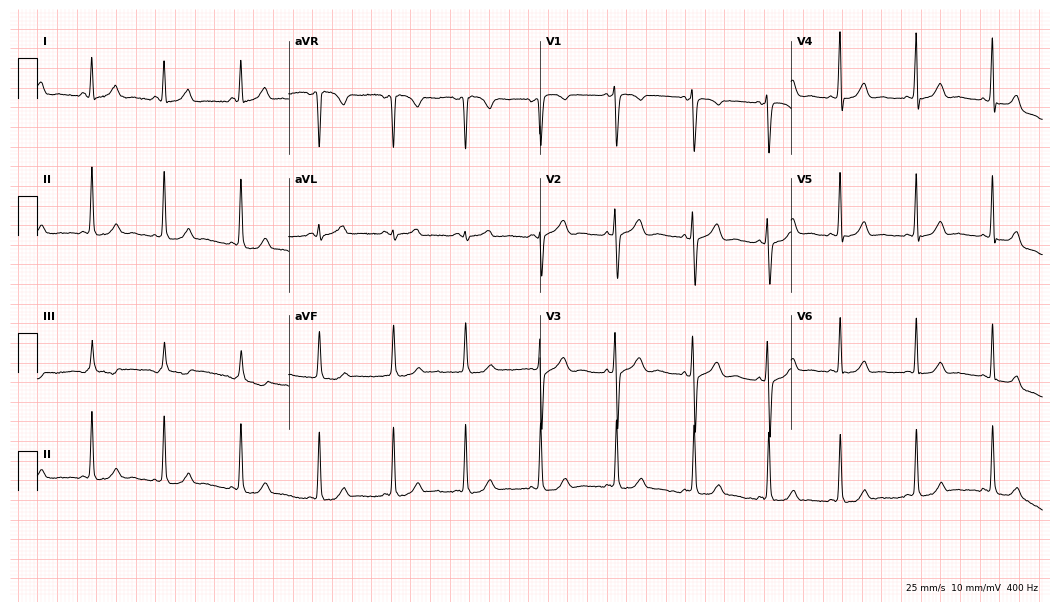
Electrocardiogram, a 34-year-old woman. Of the six screened findings (first-degree AV block, right bundle branch block (RBBB), left bundle branch block (LBBB), sinus bradycardia, atrial fibrillation (AF), sinus tachycardia), none is recorded. Other findings, if any, are not listed.